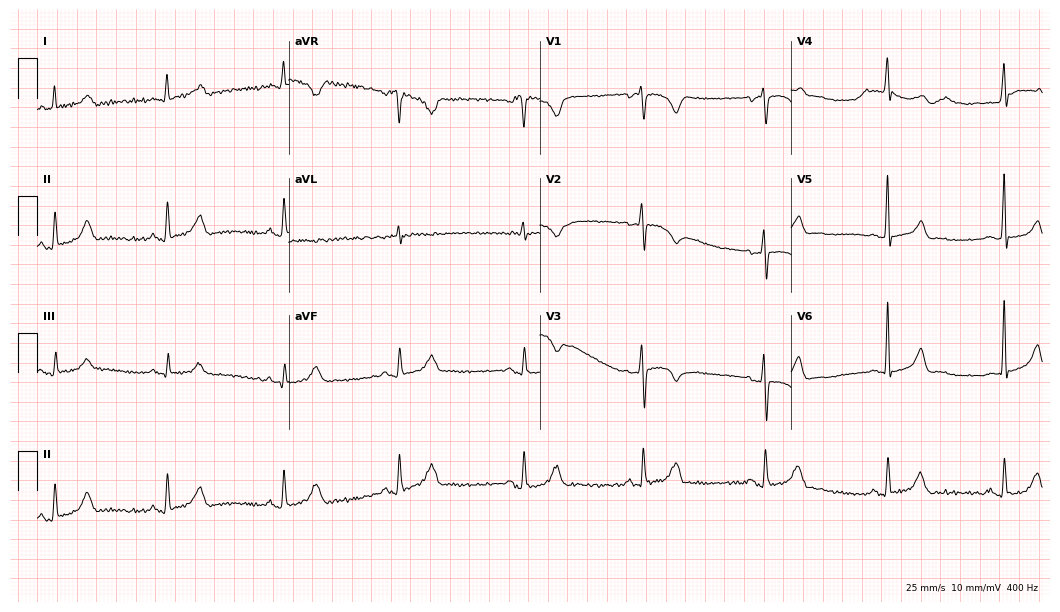
Standard 12-lead ECG recorded from a woman, 50 years old. The tracing shows sinus bradycardia (a sinus rate of 50 beats per minute or less).